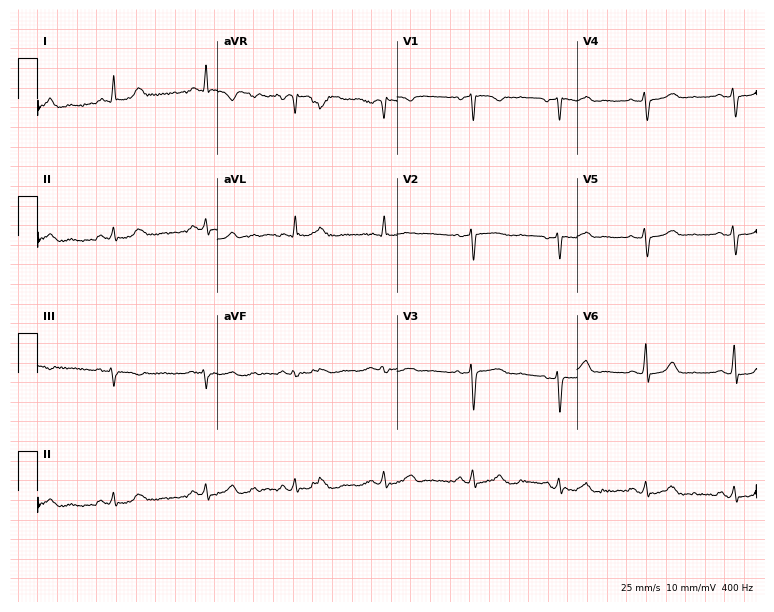
12-lead ECG (7.3-second recording at 400 Hz) from a female, 40 years old. Screened for six findings — first-degree AV block, right bundle branch block, left bundle branch block, sinus bradycardia, atrial fibrillation, sinus tachycardia — none is recorded. Only these six findings were labelled.